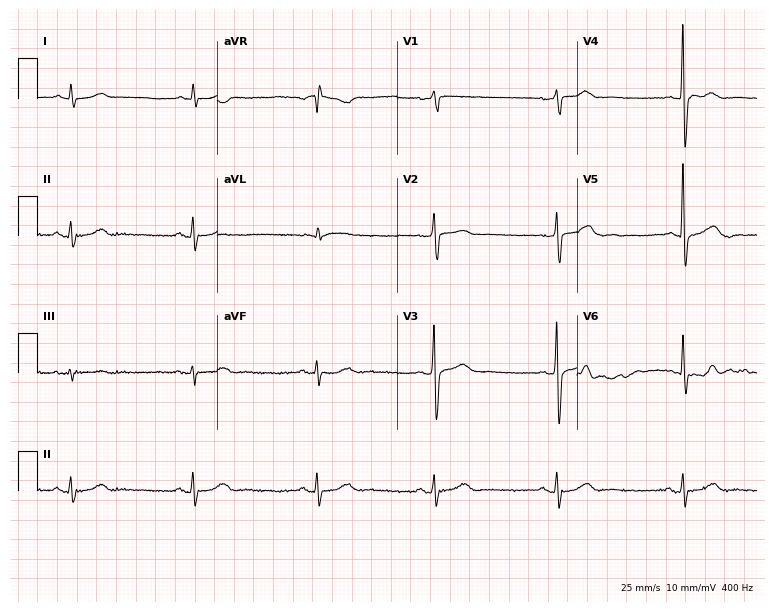
12-lead ECG from a man, 73 years old. Shows sinus bradycardia (a sinus rate of 50 beats per minute or less).